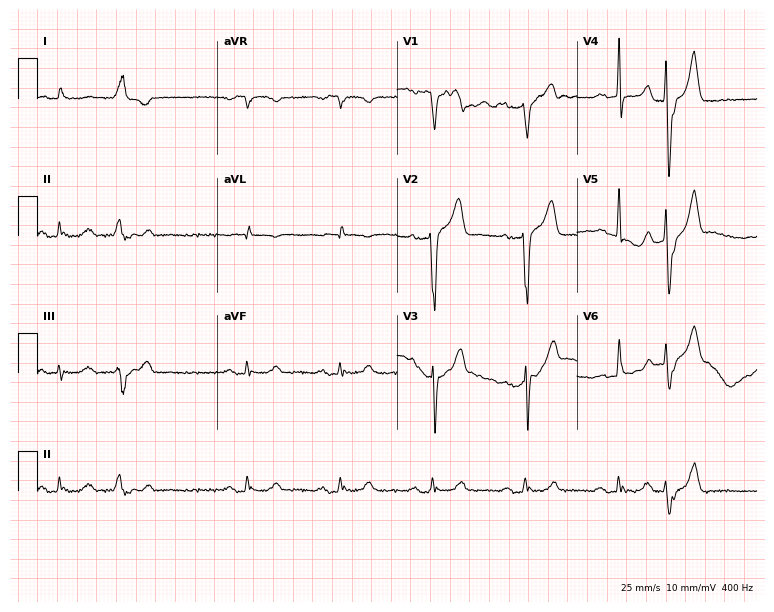
12-lead ECG from a 66-year-old male (7.3-second recording at 400 Hz). No first-degree AV block, right bundle branch block, left bundle branch block, sinus bradycardia, atrial fibrillation or sinus tachycardia recorded for this tracing.